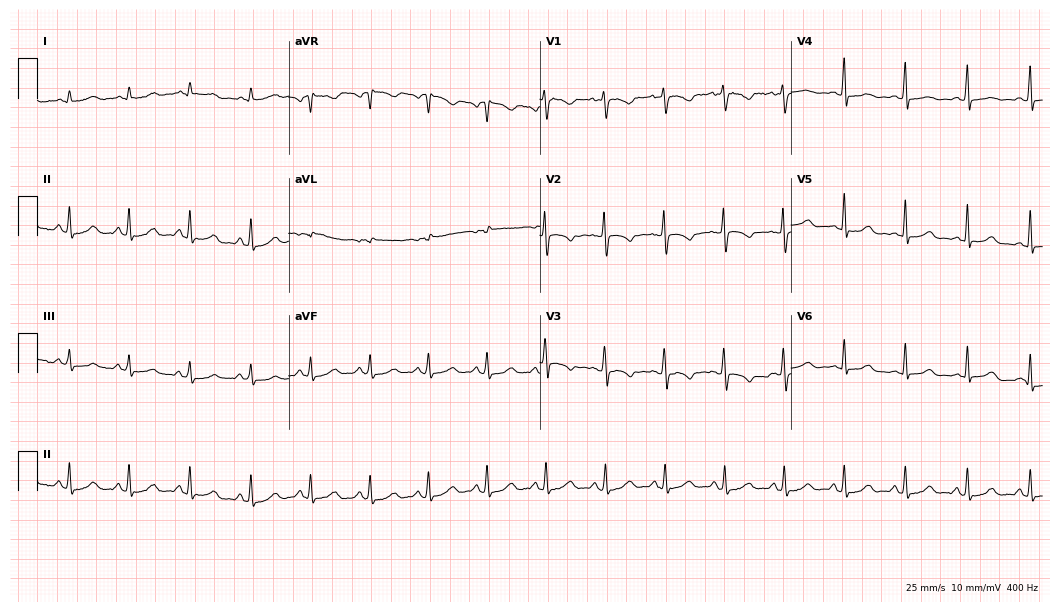
Resting 12-lead electrocardiogram. Patient: a woman, 21 years old. Read as a normal ECG.